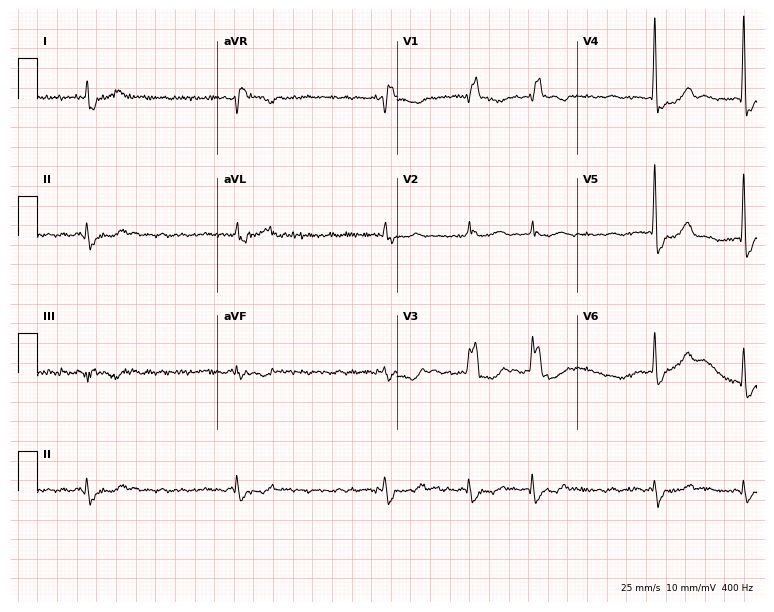
Standard 12-lead ECG recorded from an 83-year-old man. None of these six findings is recorded: first-degree AV block, right bundle branch block (RBBB), left bundle branch block (LBBB), sinus bradycardia, atrial fibrillation (AF), sinus tachycardia. Findings outside these six are not listed.